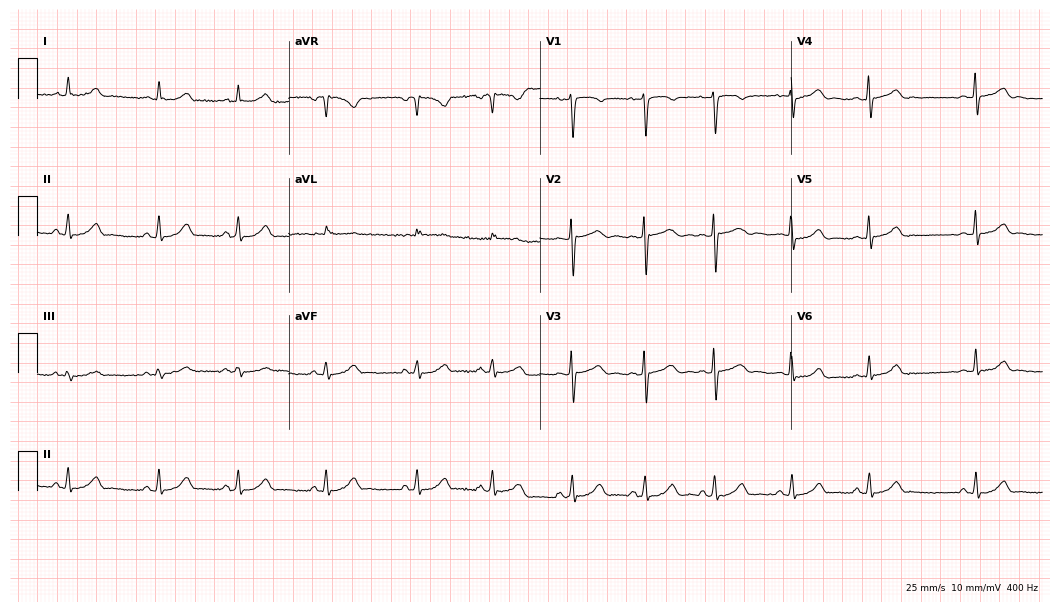
12-lead ECG from an 18-year-old woman. Labelled as a normal ECG.